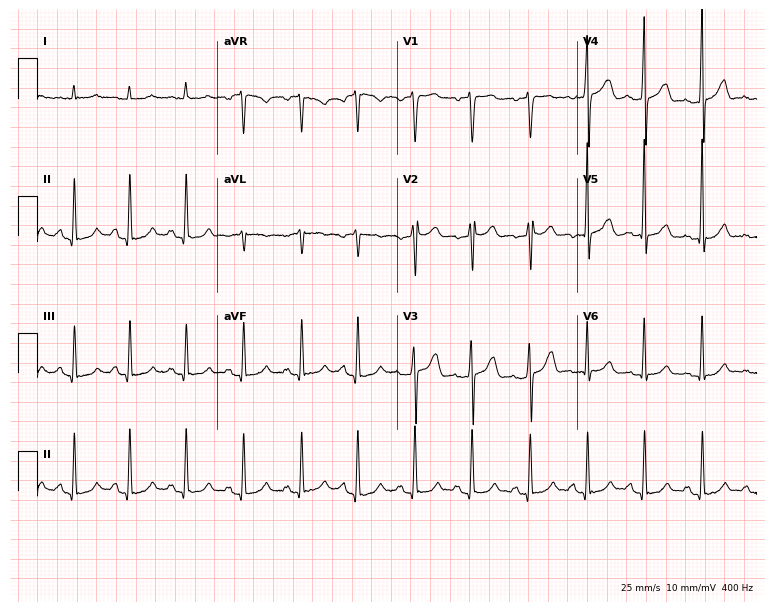
12-lead ECG (7.3-second recording at 400 Hz) from a man, 50 years old. Findings include sinus tachycardia (a sinus rate of 100 beats per minute or more).